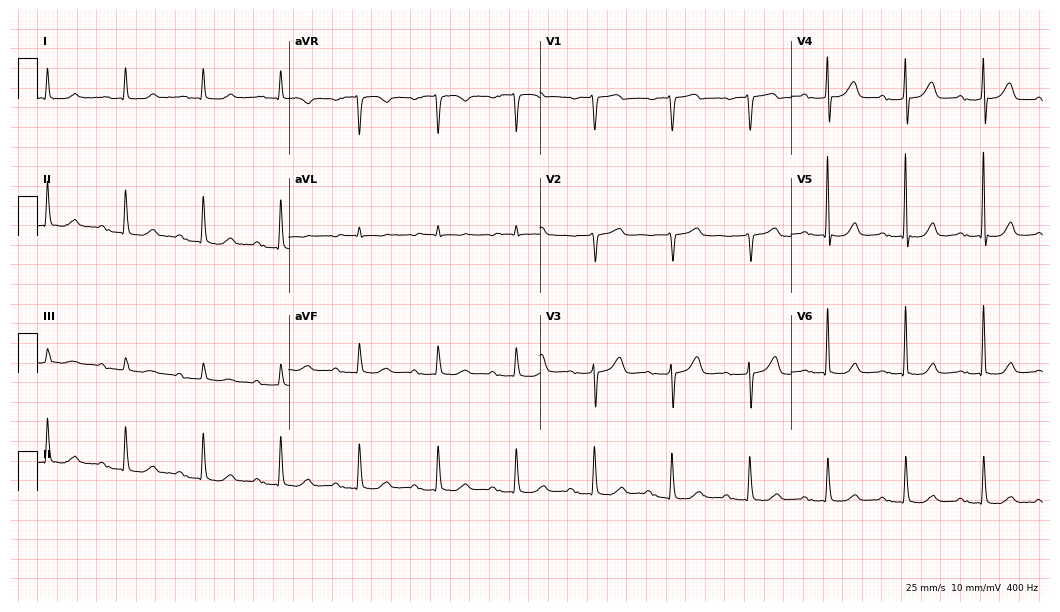
Standard 12-lead ECG recorded from a female, 71 years old (10.2-second recording at 400 Hz). The tracing shows first-degree AV block.